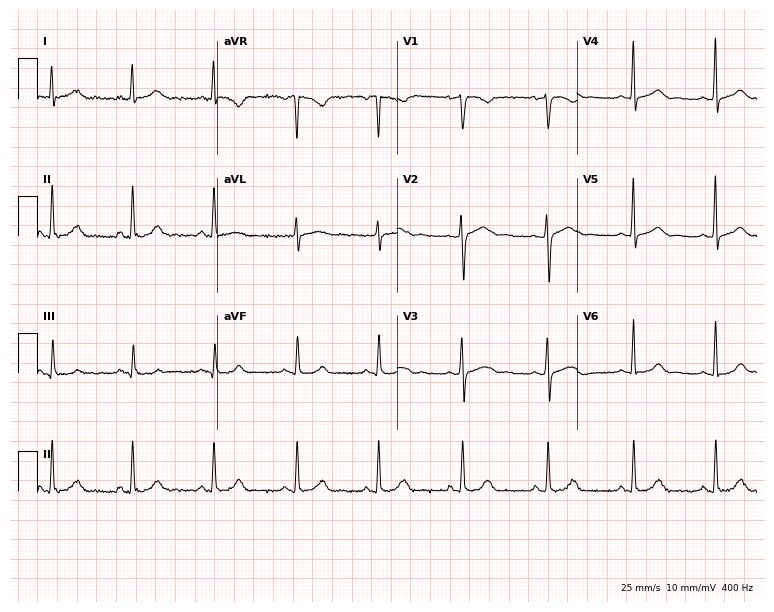
Electrocardiogram (7.3-second recording at 400 Hz), a female, 41 years old. Overall reading on record: normal ECG.